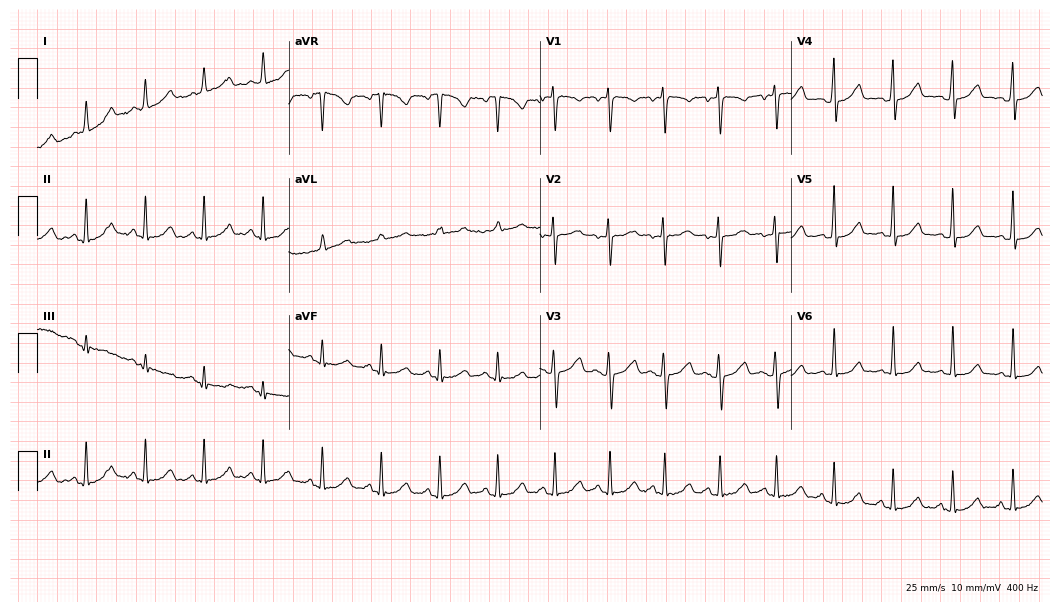
12-lead ECG from a woman, 33 years old. Screened for six findings — first-degree AV block, right bundle branch block, left bundle branch block, sinus bradycardia, atrial fibrillation, sinus tachycardia — none is recorded.